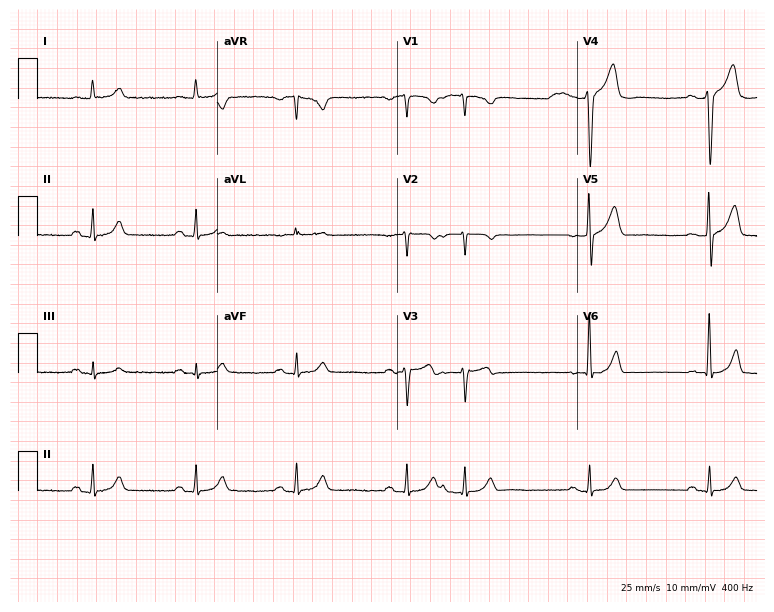
Resting 12-lead electrocardiogram. Patient: a 66-year-old male. Read as a normal ECG.